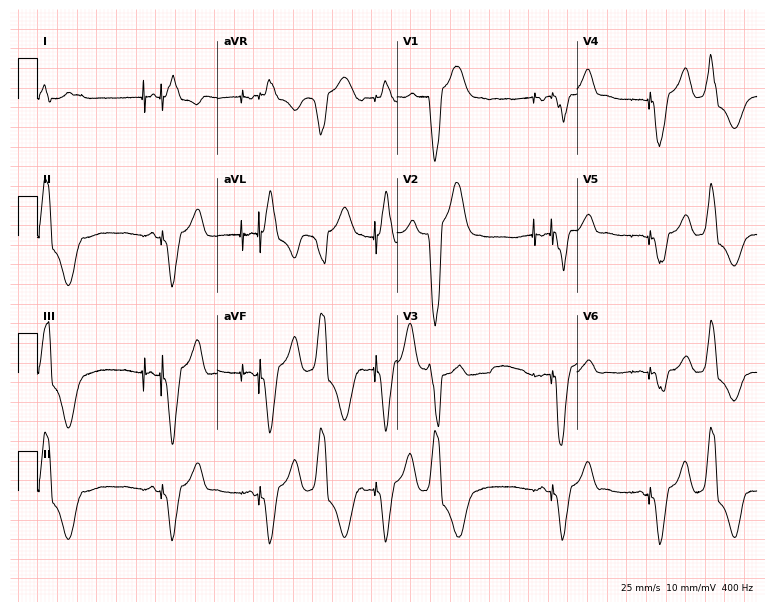
Electrocardiogram (7.3-second recording at 400 Hz), a woman, 47 years old. Of the six screened findings (first-degree AV block, right bundle branch block, left bundle branch block, sinus bradycardia, atrial fibrillation, sinus tachycardia), none is recorded. Findings outside these six are not listed.